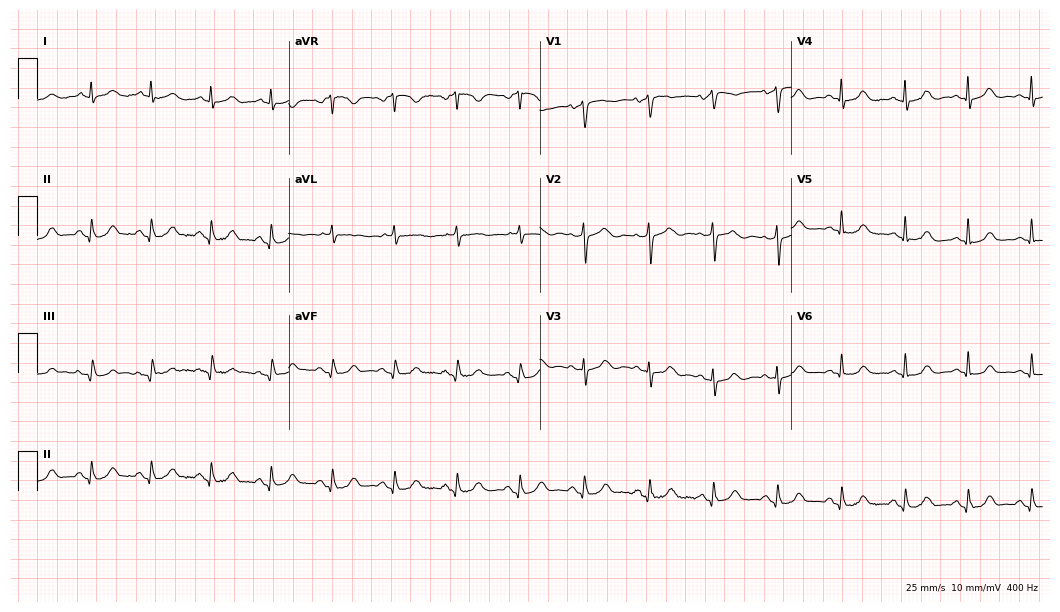
12-lead ECG from a woman, 75 years old. Screened for six findings — first-degree AV block, right bundle branch block, left bundle branch block, sinus bradycardia, atrial fibrillation, sinus tachycardia — none is recorded.